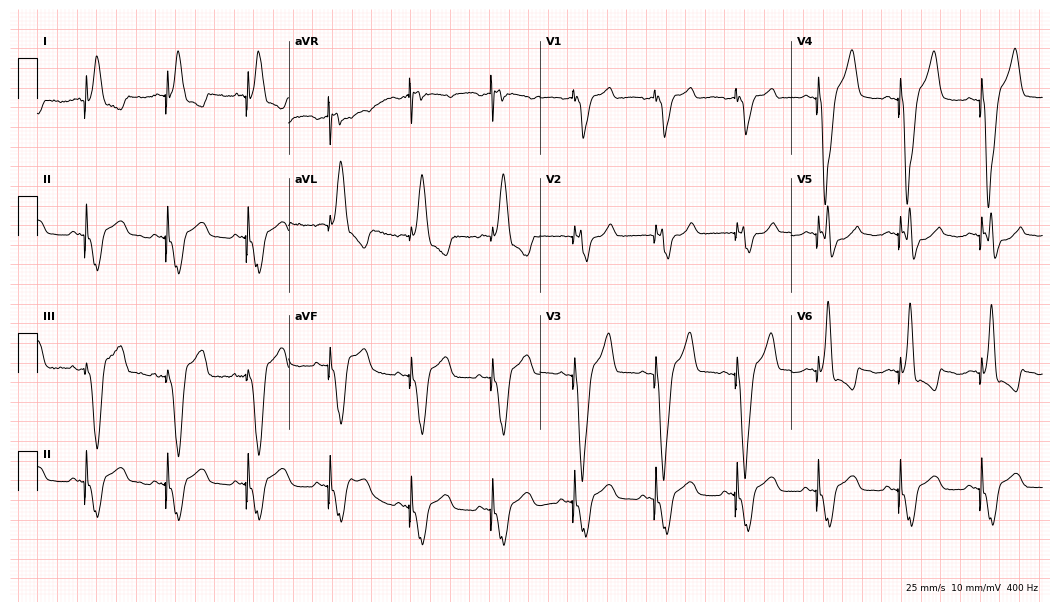
12-lead ECG (10.2-second recording at 400 Hz) from an 80-year-old female patient. Screened for six findings — first-degree AV block, right bundle branch block (RBBB), left bundle branch block (LBBB), sinus bradycardia, atrial fibrillation (AF), sinus tachycardia — none is recorded. Findings outside these six are not listed.